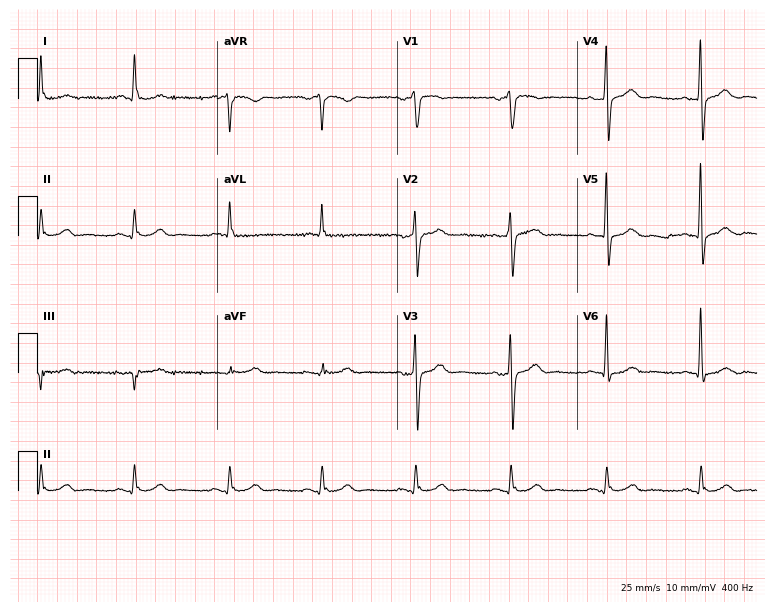
Resting 12-lead electrocardiogram. Patient: a 64-year-old man. Read as a normal ECG.